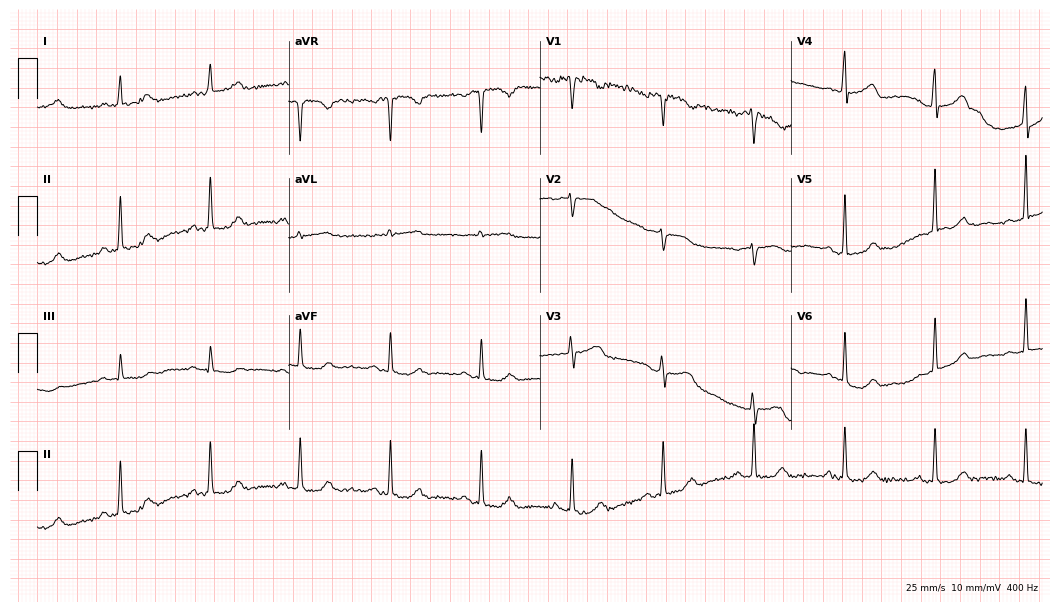
ECG — a 69-year-old female. Labelled as a normal ECG.